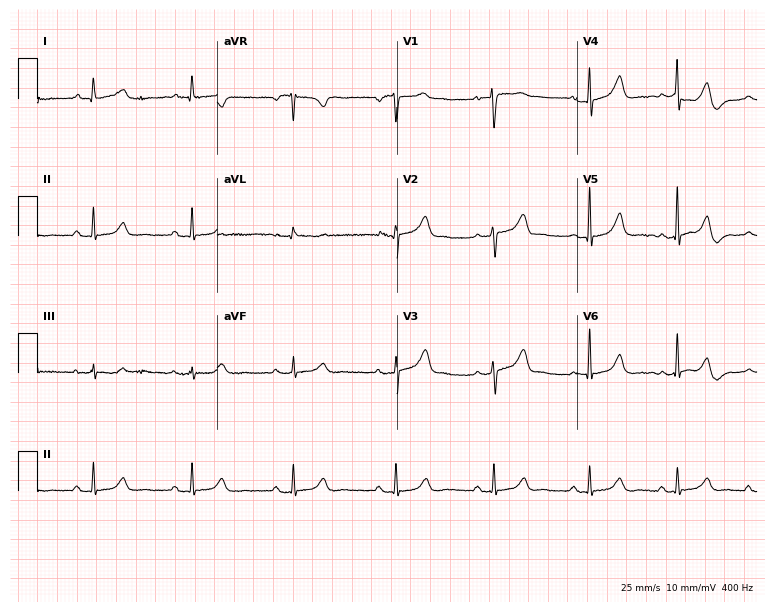
Standard 12-lead ECG recorded from a female patient, 41 years old. Read as a normal ECG.